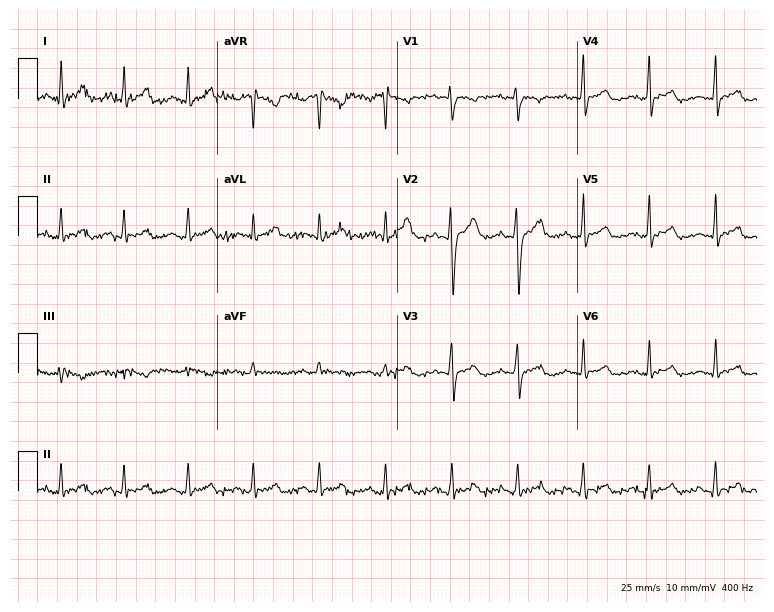
Standard 12-lead ECG recorded from a 40-year-old male patient. Read as a normal ECG.